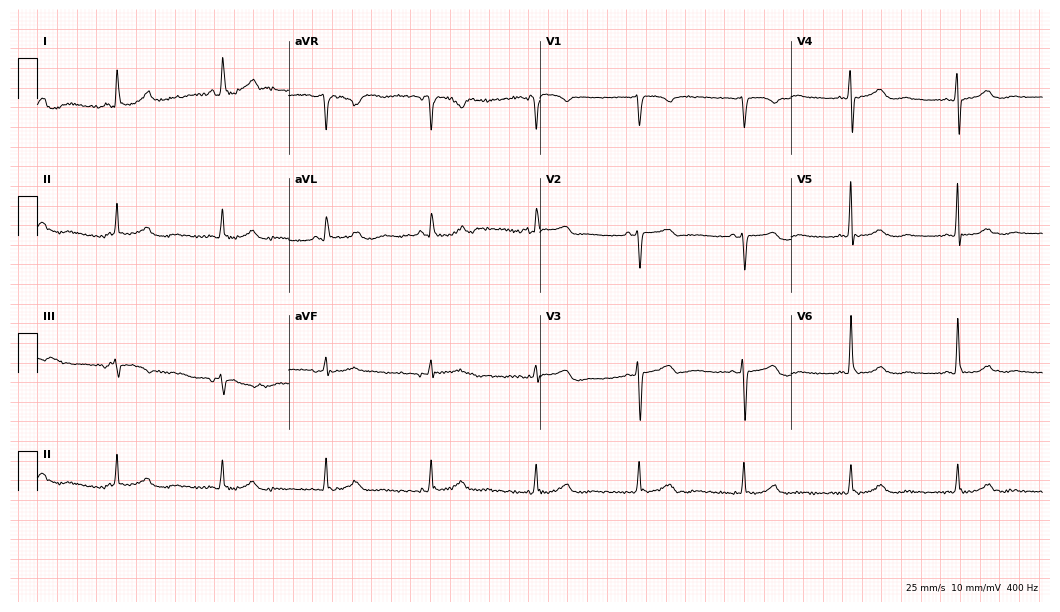
Resting 12-lead electrocardiogram. Patient: a 77-year-old female. Read as a normal ECG.